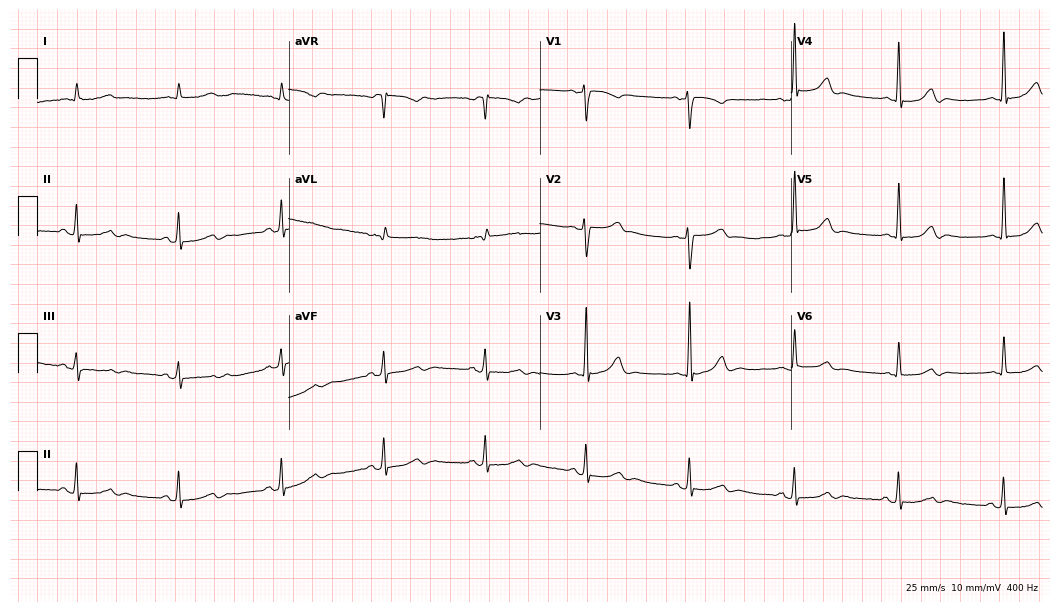
Resting 12-lead electrocardiogram. Patient: a 51-year-old male. None of these six findings is recorded: first-degree AV block, right bundle branch block, left bundle branch block, sinus bradycardia, atrial fibrillation, sinus tachycardia.